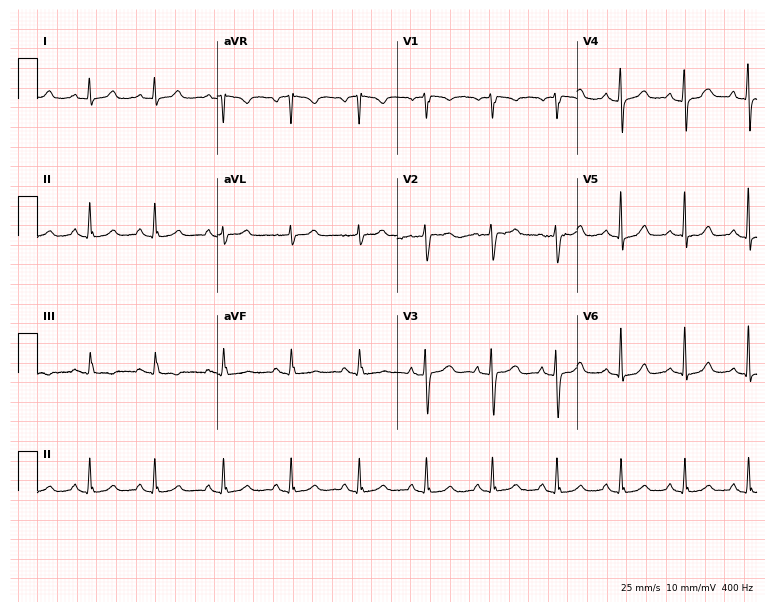
12-lead ECG from a 49-year-old female patient. Recorded interpretation: within normal limits.